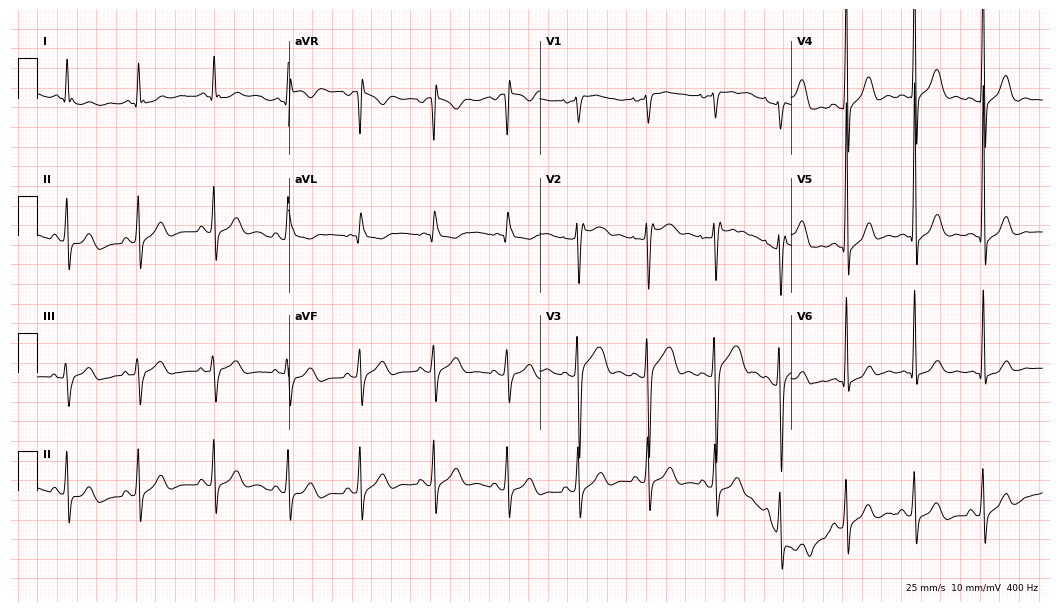
ECG — a man, 22 years old. Screened for six findings — first-degree AV block, right bundle branch block, left bundle branch block, sinus bradycardia, atrial fibrillation, sinus tachycardia — none is recorded.